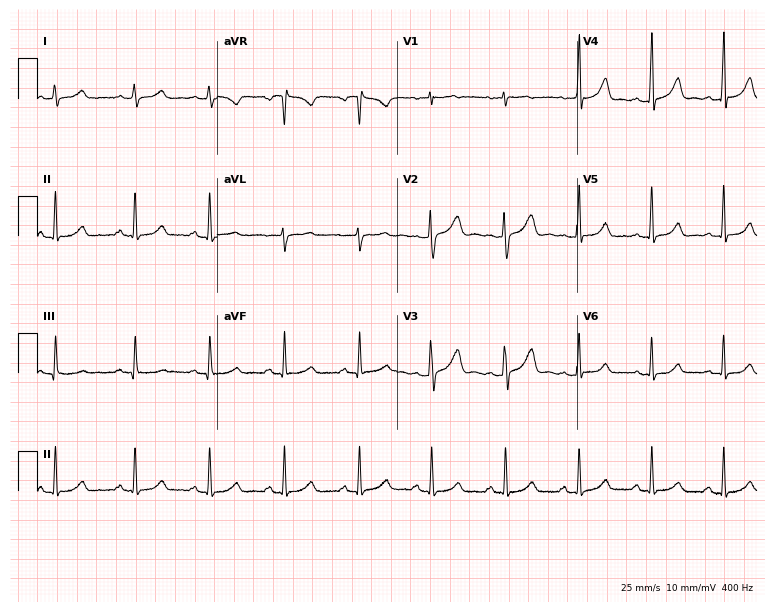
Electrocardiogram, a woman, 22 years old. Overall reading on record: normal ECG.